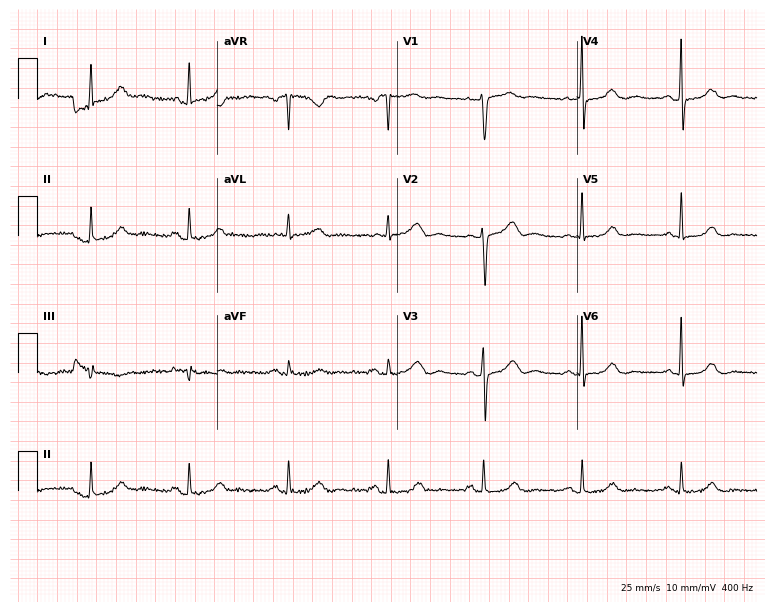
Electrocardiogram (7.3-second recording at 400 Hz), a woman, 60 years old. Of the six screened findings (first-degree AV block, right bundle branch block, left bundle branch block, sinus bradycardia, atrial fibrillation, sinus tachycardia), none is recorded.